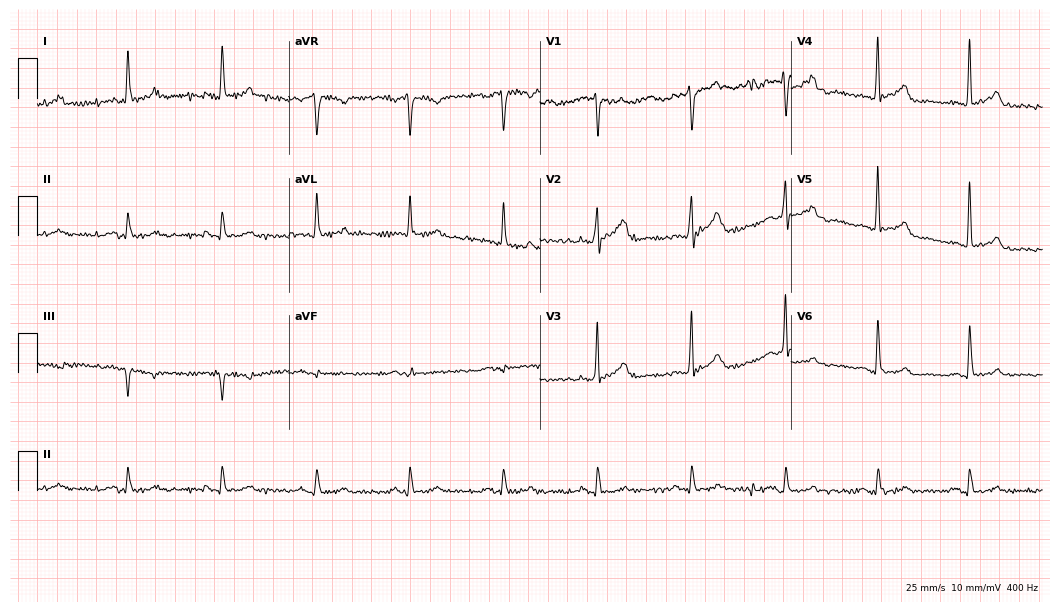
12-lead ECG from a man, 77 years old. Recorded interpretation: within normal limits.